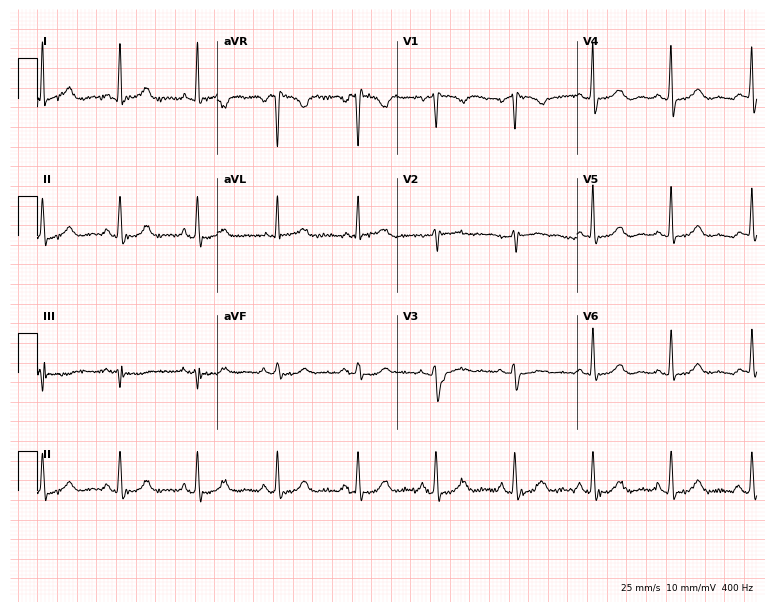
Electrocardiogram (7.3-second recording at 400 Hz), a 67-year-old female patient. Of the six screened findings (first-degree AV block, right bundle branch block, left bundle branch block, sinus bradycardia, atrial fibrillation, sinus tachycardia), none is recorded. Other findings, if any, are not listed.